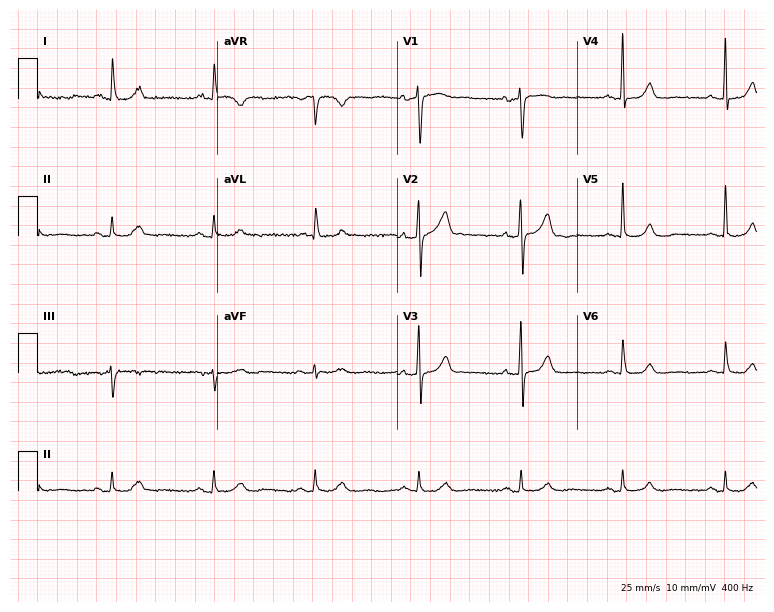
12-lead ECG from a male, 30 years old. Labelled as a normal ECG.